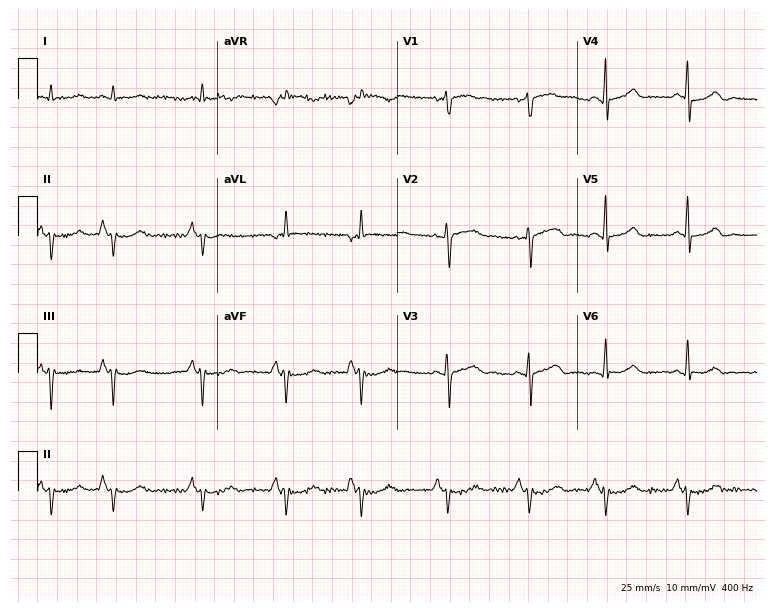
Standard 12-lead ECG recorded from a 74-year-old male (7.3-second recording at 400 Hz). None of these six findings is recorded: first-degree AV block, right bundle branch block, left bundle branch block, sinus bradycardia, atrial fibrillation, sinus tachycardia.